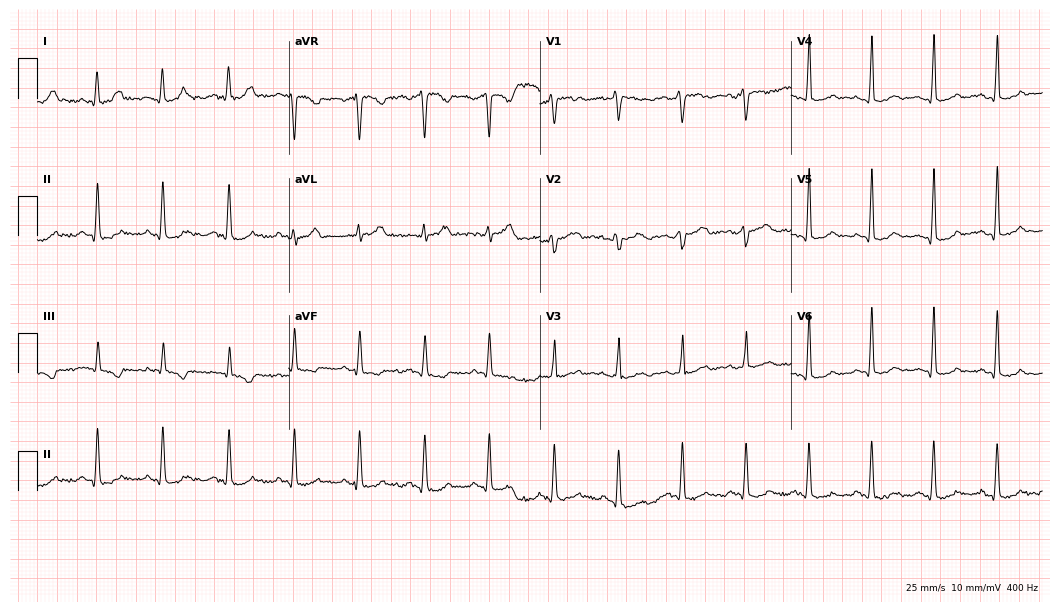
Resting 12-lead electrocardiogram (10.2-second recording at 400 Hz). Patient: a female, 22 years old. None of these six findings is recorded: first-degree AV block, right bundle branch block, left bundle branch block, sinus bradycardia, atrial fibrillation, sinus tachycardia.